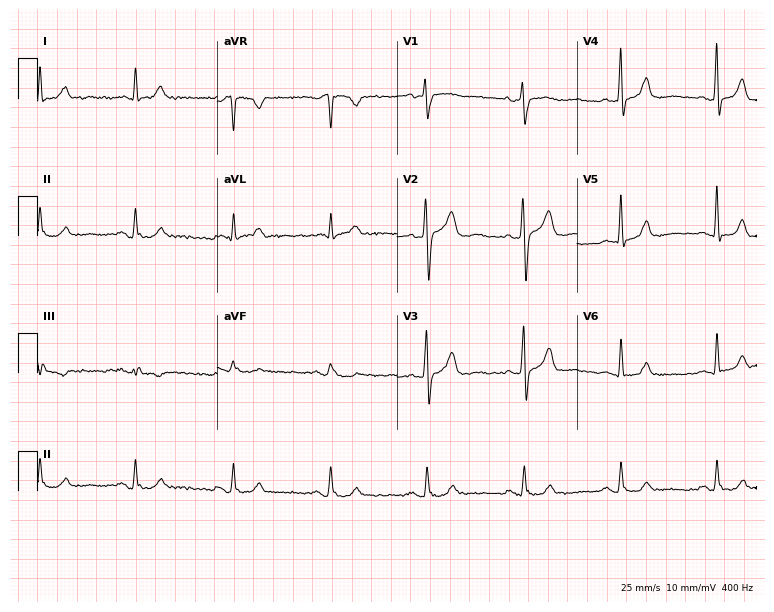
ECG (7.3-second recording at 400 Hz) — a 68-year-old man. Screened for six findings — first-degree AV block, right bundle branch block, left bundle branch block, sinus bradycardia, atrial fibrillation, sinus tachycardia — none is recorded. Only these six findings were labelled.